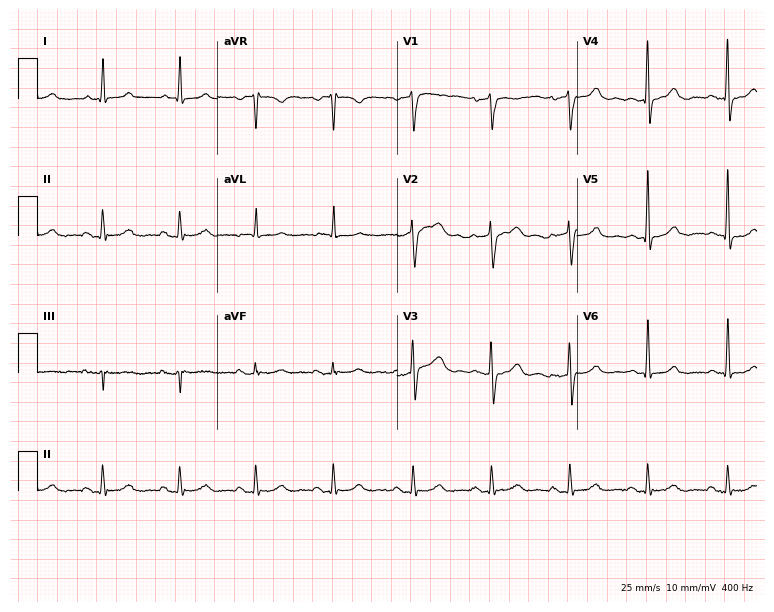
Resting 12-lead electrocardiogram. Patient: a 72-year-old male. Read as a normal ECG.